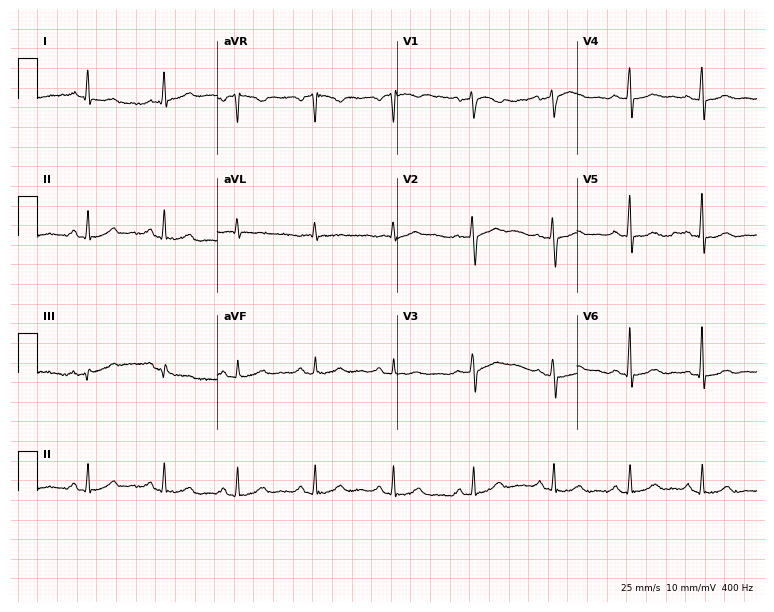
Electrocardiogram, a 57-year-old female. Overall reading on record: normal ECG.